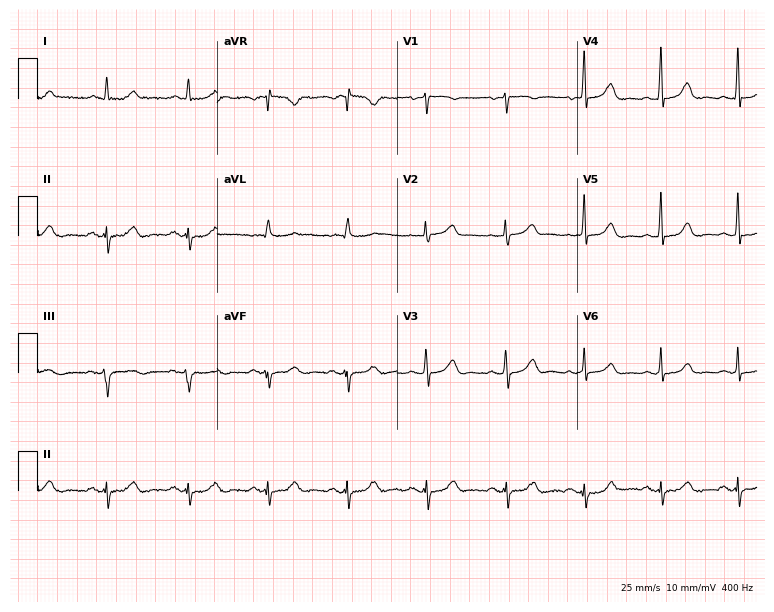
Standard 12-lead ECG recorded from a male, 73 years old (7.3-second recording at 400 Hz). None of these six findings is recorded: first-degree AV block, right bundle branch block (RBBB), left bundle branch block (LBBB), sinus bradycardia, atrial fibrillation (AF), sinus tachycardia. Findings outside these six are not listed.